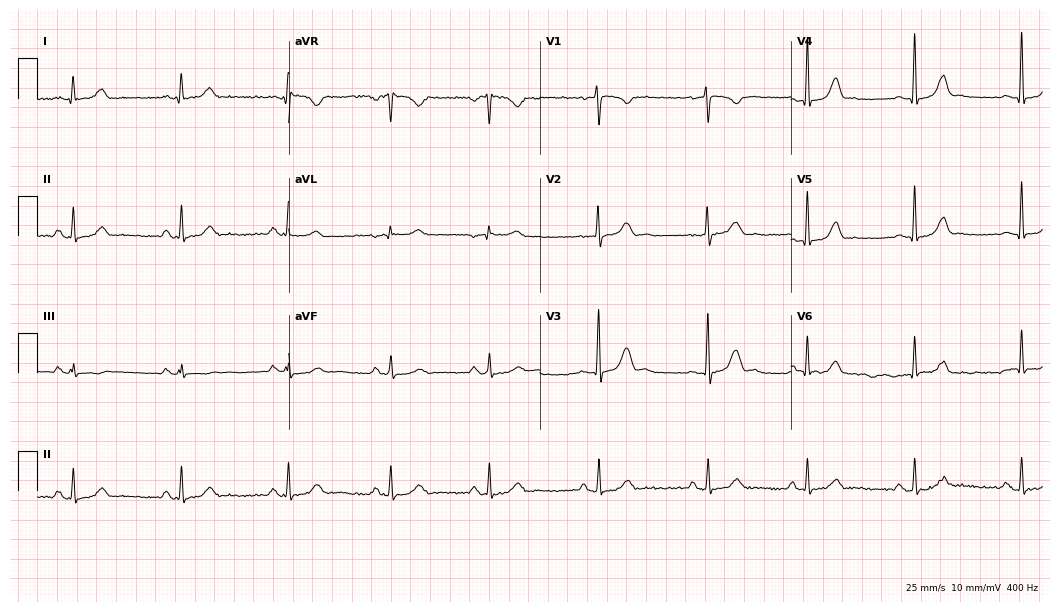
Standard 12-lead ECG recorded from a 25-year-old woman. Read as a normal ECG.